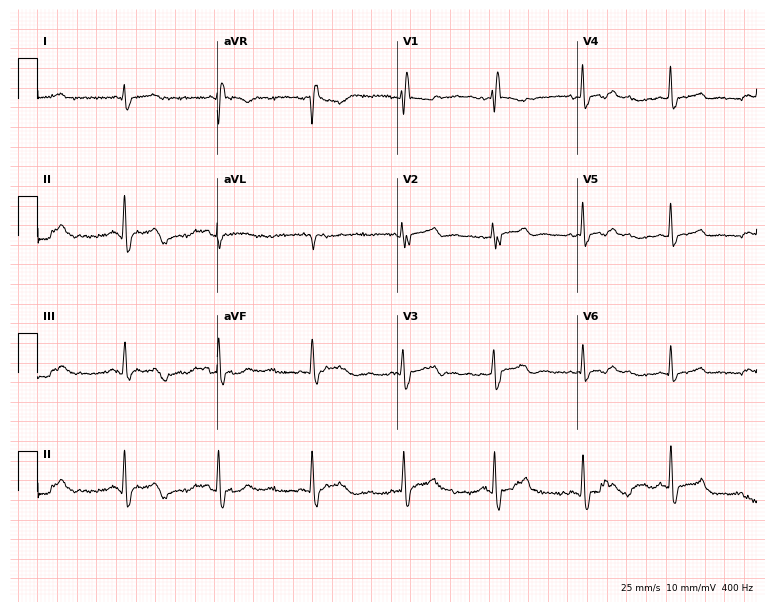
Resting 12-lead electrocardiogram. Patient: a male, 40 years old. None of these six findings is recorded: first-degree AV block, right bundle branch block (RBBB), left bundle branch block (LBBB), sinus bradycardia, atrial fibrillation (AF), sinus tachycardia. Findings outside these six are not listed.